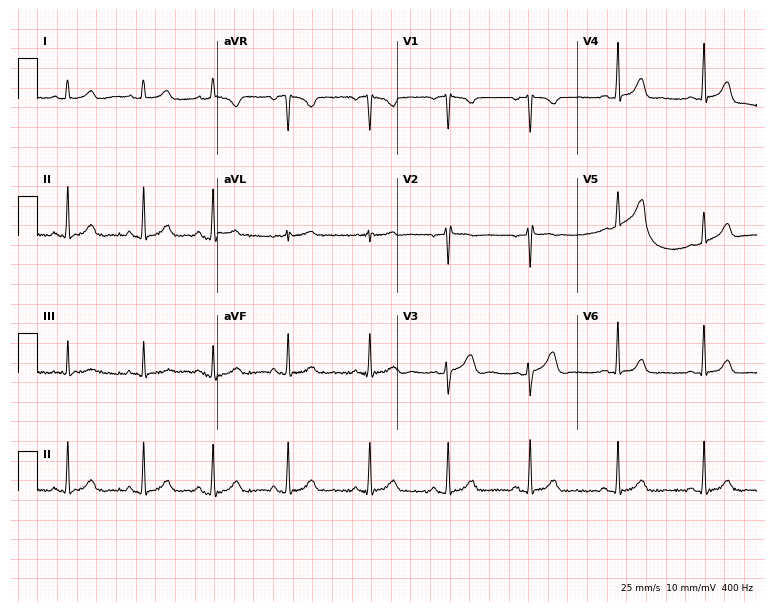
Standard 12-lead ECG recorded from a 25-year-old female (7.3-second recording at 400 Hz). None of these six findings is recorded: first-degree AV block, right bundle branch block (RBBB), left bundle branch block (LBBB), sinus bradycardia, atrial fibrillation (AF), sinus tachycardia.